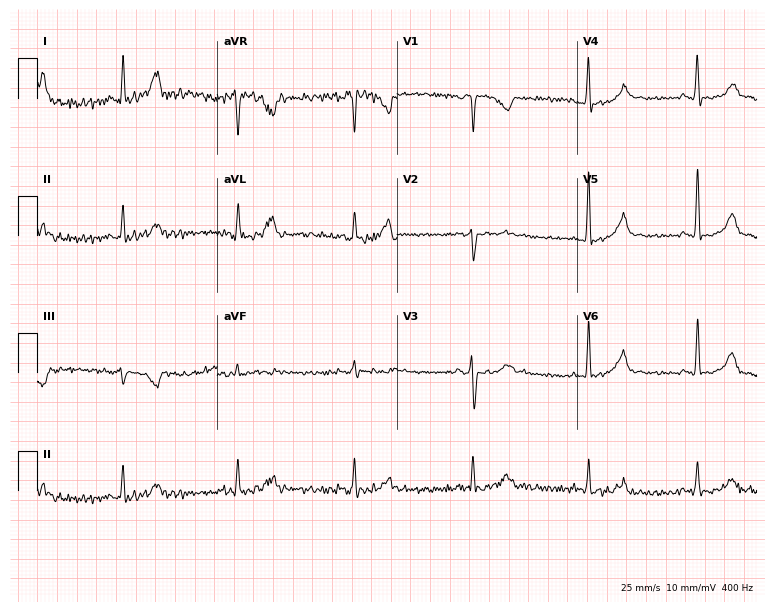
Electrocardiogram (7.3-second recording at 400 Hz), a 36-year-old female patient. Of the six screened findings (first-degree AV block, right bundle branch block (RBBB), left bundle branch block (LBBB), sinus bradycardia, atrial fibrillation (AF), sinus tachycardia), none is recorded.